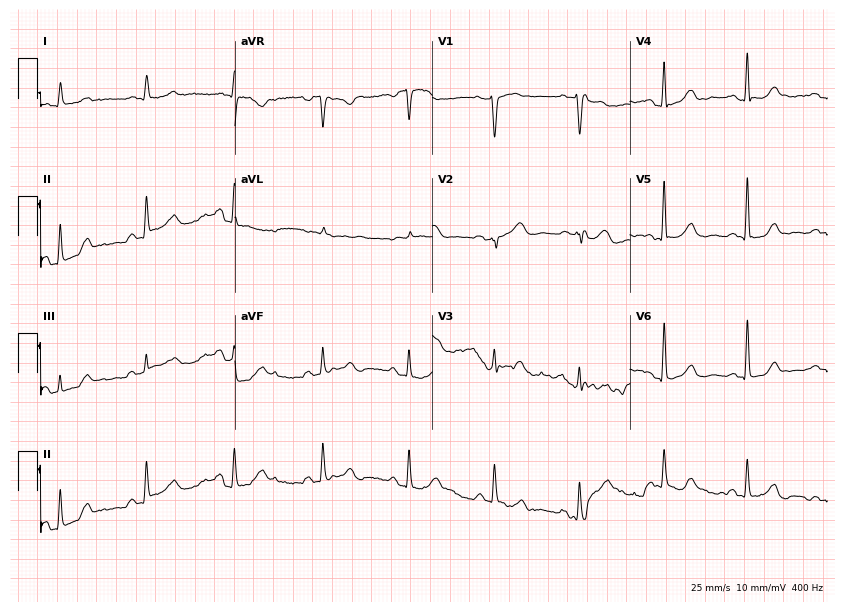
12-lead ECG from a woman, 71 years old. Recorded interpretation: within normal limits.